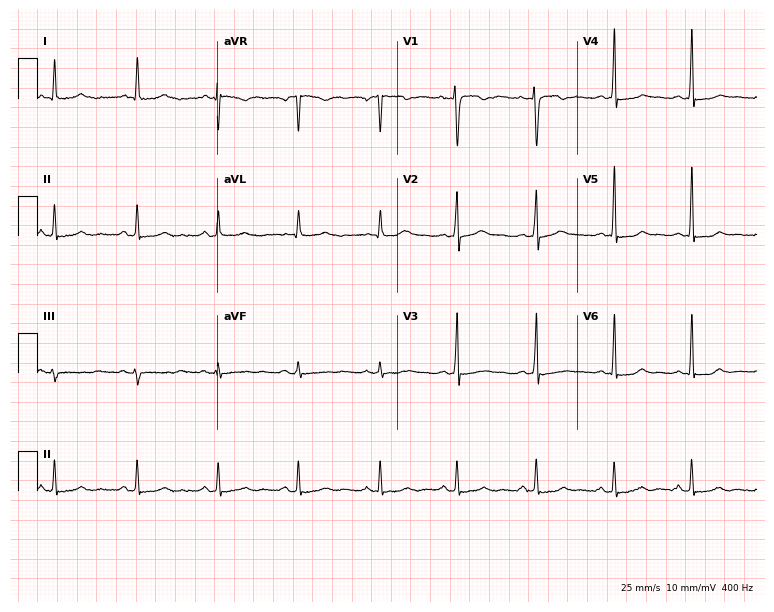
12-lead ECG from a woman, 28 years old (7.3-second recording at 400 Hz). No first-degree AV block, right bundle branch block, left bundle branch block, sinus bradycardia, atrial fibrillation or sinus tachycardia recorded for this tracing. Only these six findings were labelled.